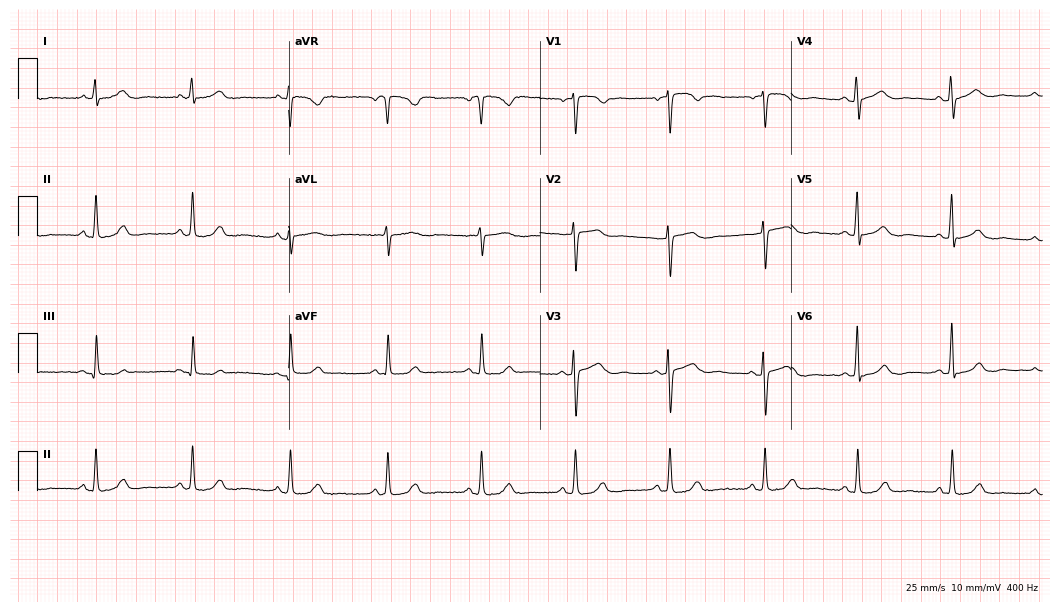
Electrocardiogram, a woman, 51 years old. Overall reading on record: normal ECG.